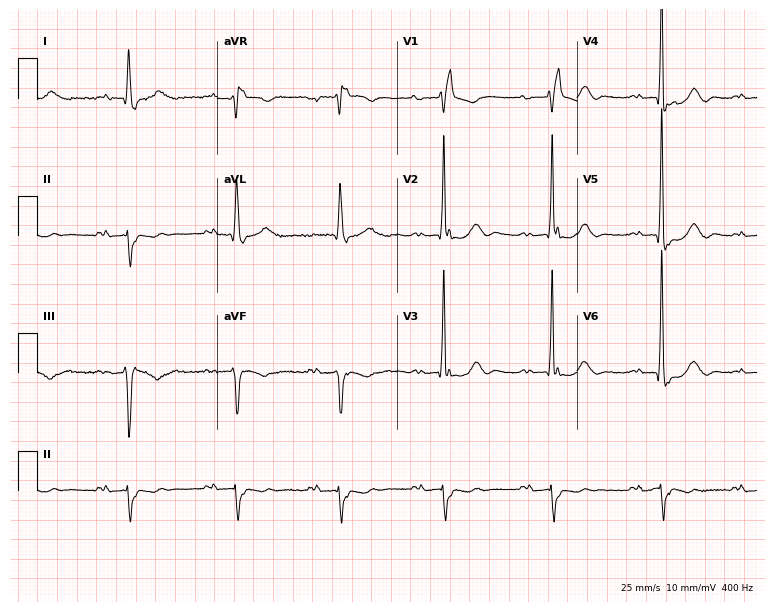
12-lead ECG from a 77-year-old woman. Findings include first-degree AV block, right bundle branch block (RBBB).